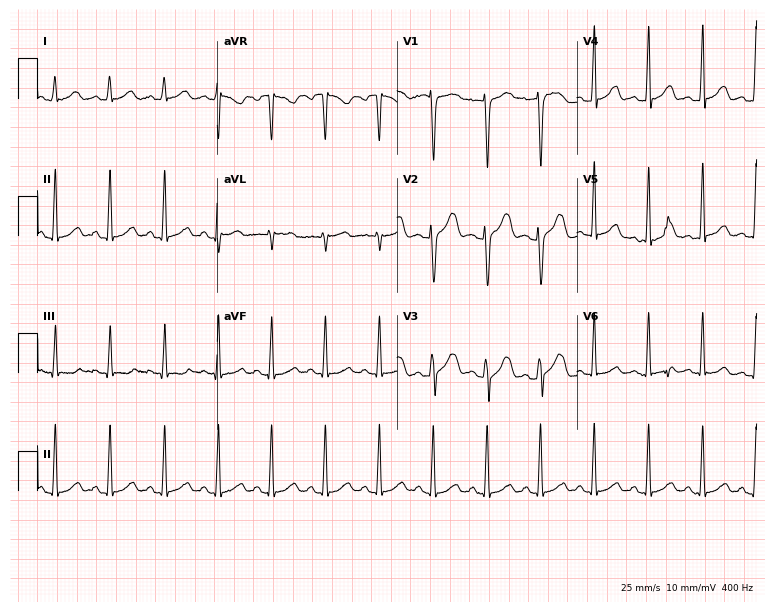
12-lead ECG from a 19-year-old female. Shows sinus tachycardia (a sinus rate of 100 beats per minute or more).